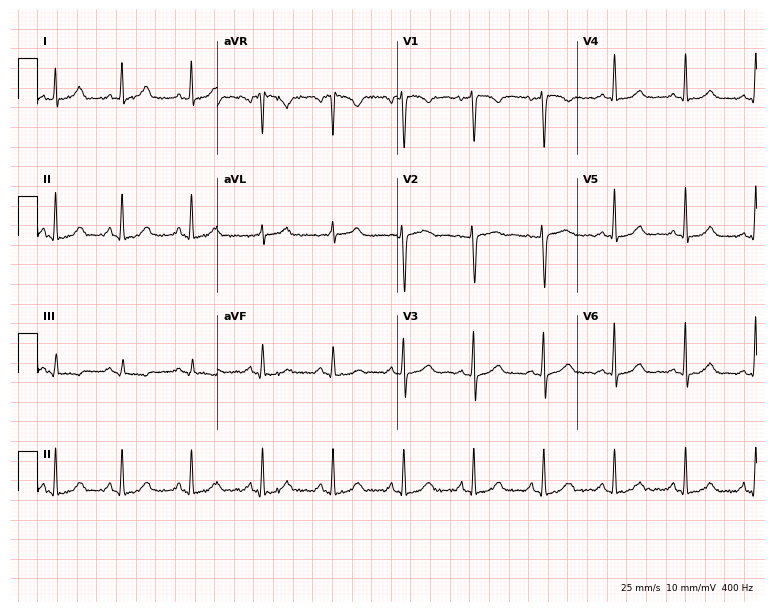
12-lead ECG (7.3-second recording at 400 Hz) from a female, 48 years old. Labelled as a normal ECG.